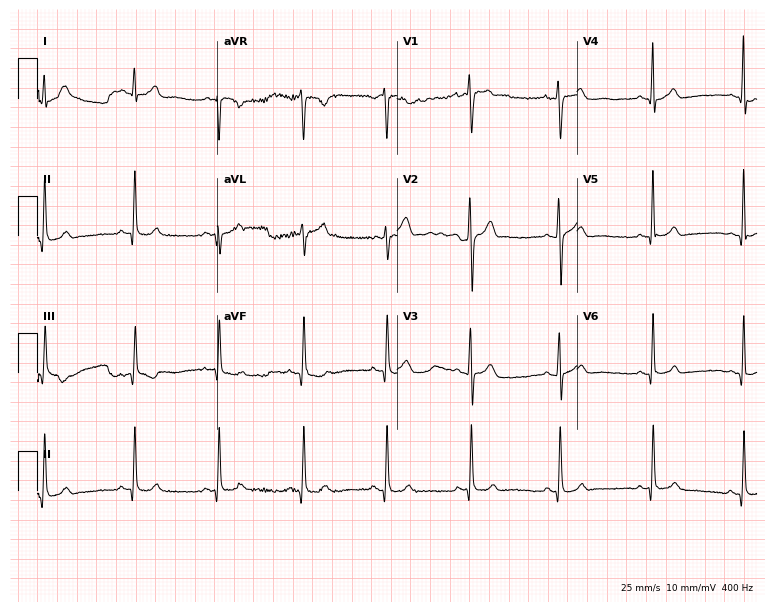
12-lead ECG from a man, 27 years old. Labelled as a normal ECG.